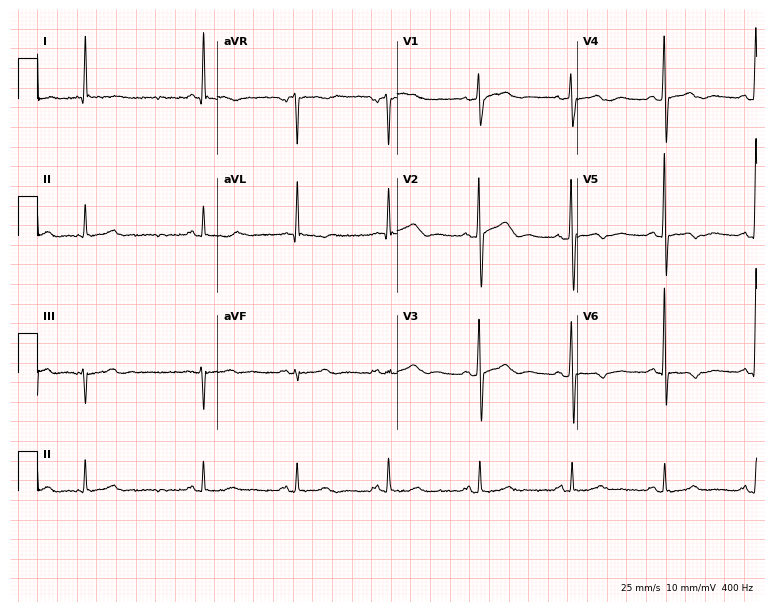
Resting 12-lead electrocardiogram (7.3-second recording at 400 Hz). Patient: a woman, 74 years old. None of these six findings is recorded: first-degree AV block, right bundle branch block, left bundle branch block, sinus bradycardia, atrial fibrillation, sinus tachycardia.